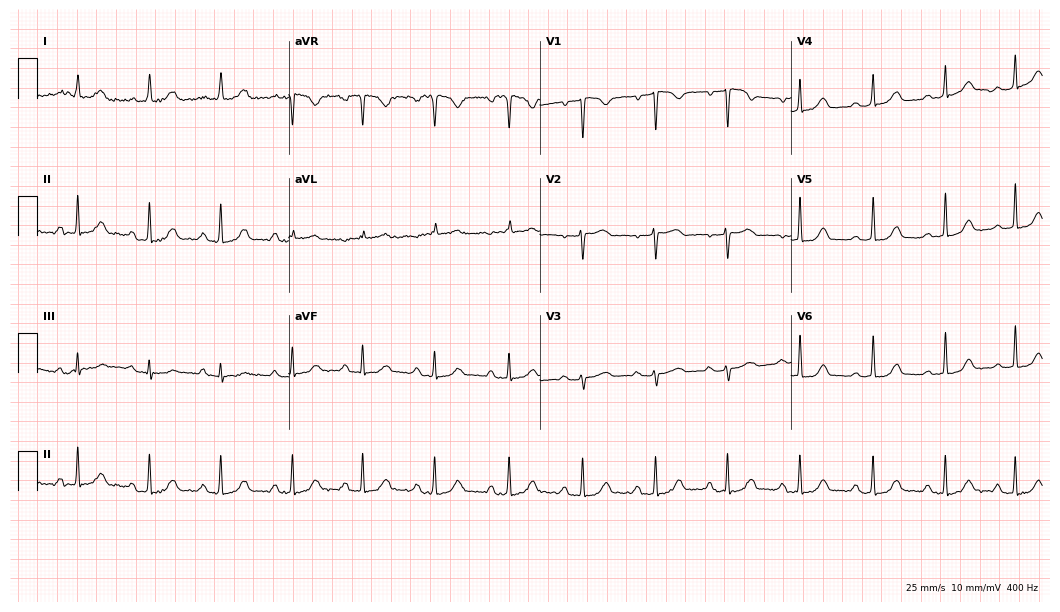
12-lead ECG from a female, 42 years old. No first-degree AV block, right bundle branch block (RBBB), left bundle branch block (LBBB), sinus bradycardia, atrial fibrillation (AF) or sinus tachycardia recorded for this tracing.